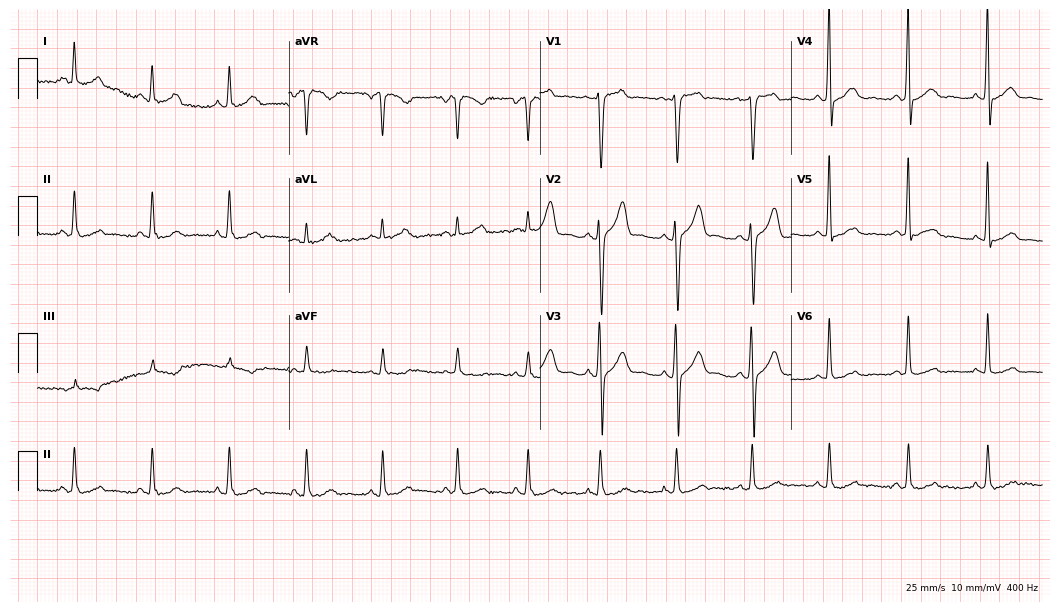
Electrocardiogram, a 35-year-old male patient. Of the six screened findings (first-degree AV block, right bundle branch block (RBBB), left bundle branch block (LBBB), sinus bradycardia, atrial fibrillation (AF), sinus tachycardia), none is recorded.